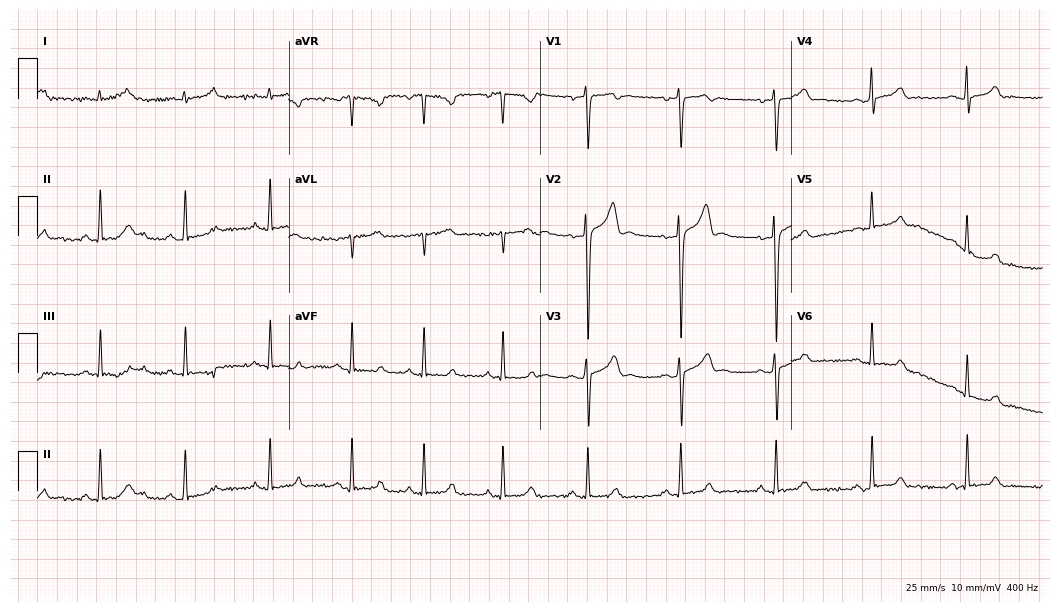
Electrocardiogram, a man, 34 years old. Of the six screened findings (first-degree AV block, right bundle branch block, left bundle branch block, sinus bradycardia, atrial fibrillation, sinus tachycardia), none is recorded. Other findings, if any, are not listed.